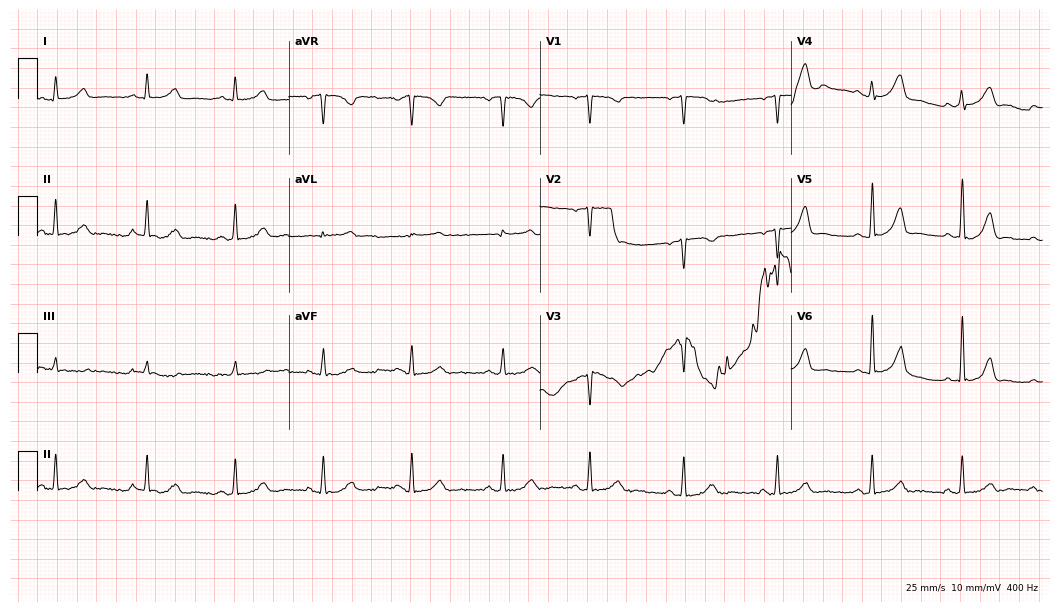
Resting 12-lead electrocardiogram. Patient: a 38-year-old woman. None of these six findings is recorded: first-degree AV block, right bundle branch block, left bundle branch block, sinus bradycardia, atrial fibrillation, sinus tachycardia. Only these six findings were labelled.